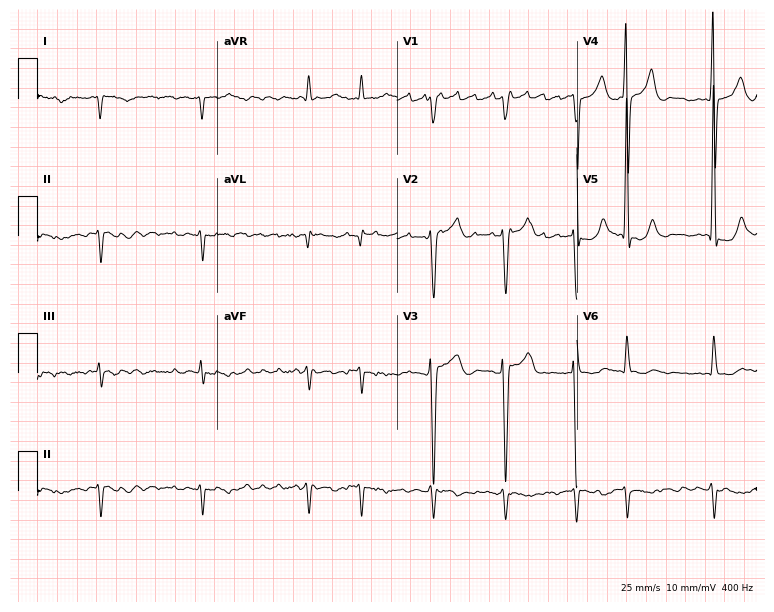
Electrocardiogram, a male, 74 years old. Of the six screened findings (first-degree AV block, right bundle branch block (RBBB), left bundle branch block (LBBB), sinus bradycardia, atrial fibrillation (AF), sinus tachycardia), none is recorded.